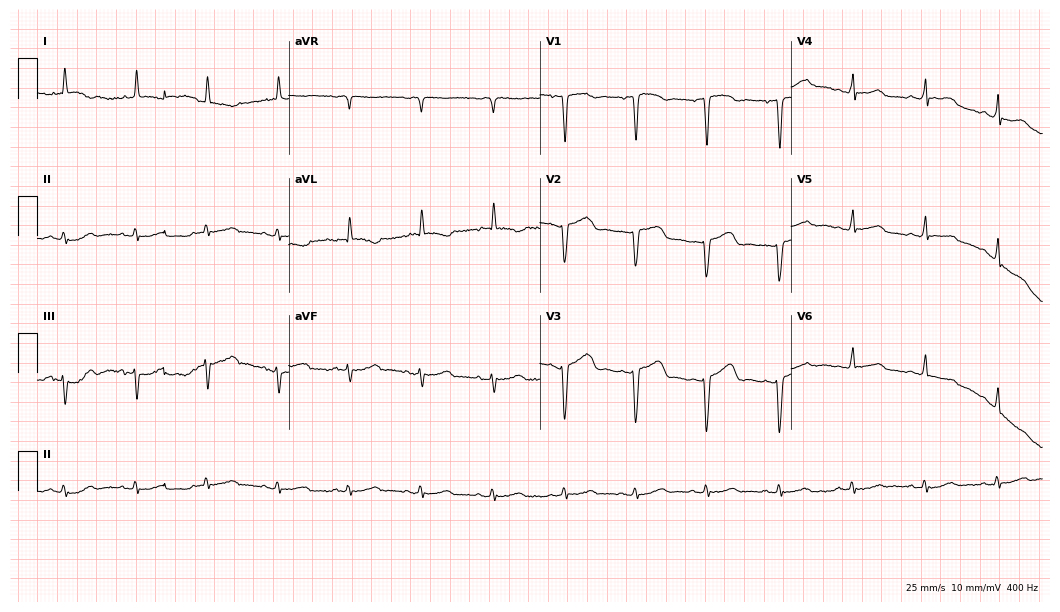
ECG — a 51-year-old woman. Screened for six findings — first-degree AV block, right bundle branch block (RBBB), left bundle branch block (LBBB), sinus bradycardia, atrial fibrillation (AF), sinus tachycardia — none is recorded.